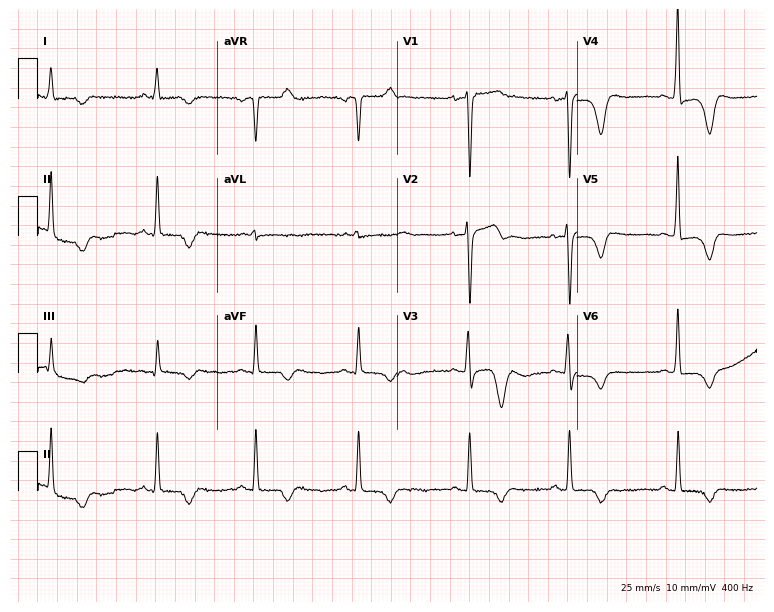
Electrocardiogram, a 46-year-old man. Of the six screened findings (first-degree AV block, right bundle branch block, left bundle branch block, sinus bradycardia, atrial fibrillation, sinus tachycardia), none is recorded.